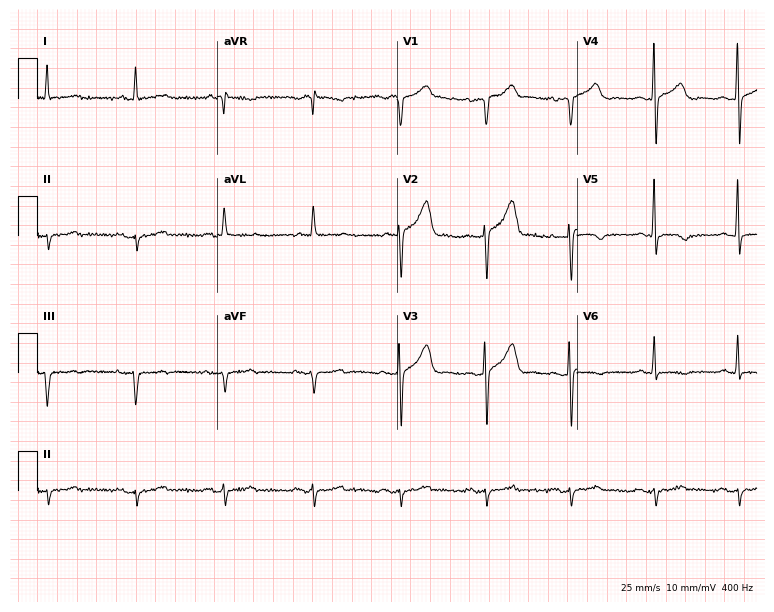
Standard 12-lead ECG recorded from a male patient, 71 years old (7.3-second recording at 400 Hz). None of these six findings is recorded: first-degree AV block, right bundle branch block (RBBB), left bundle branch block (LBBB), sinus bradycardia, atrial fibrillation (AF), sinus tachycardia.